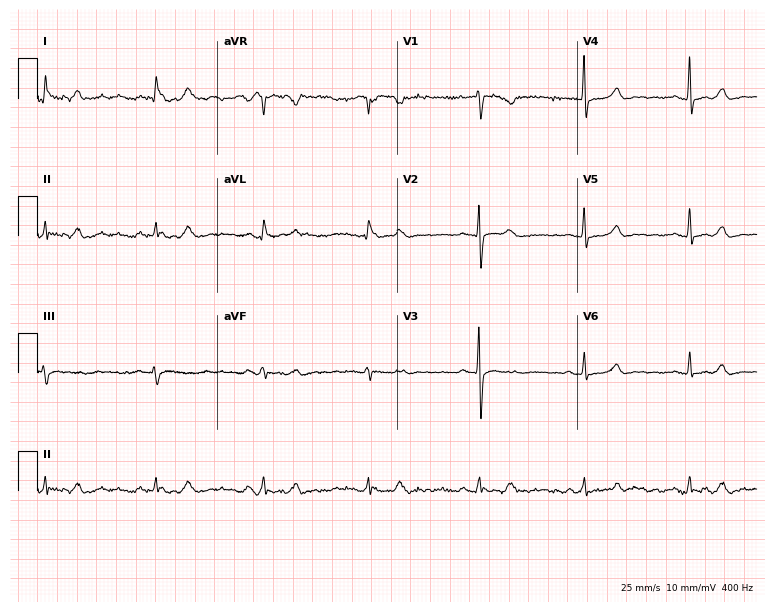
12-lead ECG from a female patient, 67 years old. No first-degree AV block, right bundle branch block, left bundle branch block, sinus bradycardia, atrial fibrillation or sinus tachycardia recorded for this tracing.